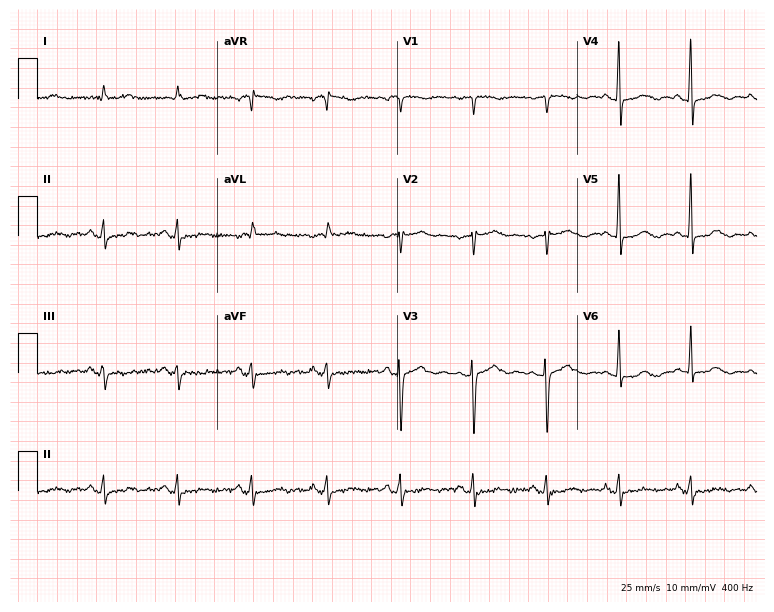
12-lead ECG from a woman, 78 years old. No first-degree AV block, right bundle branch block, left bundle branch block, sinus bradycardia, atrial fibrillation or sinus tachycardia recorded for this tracing.